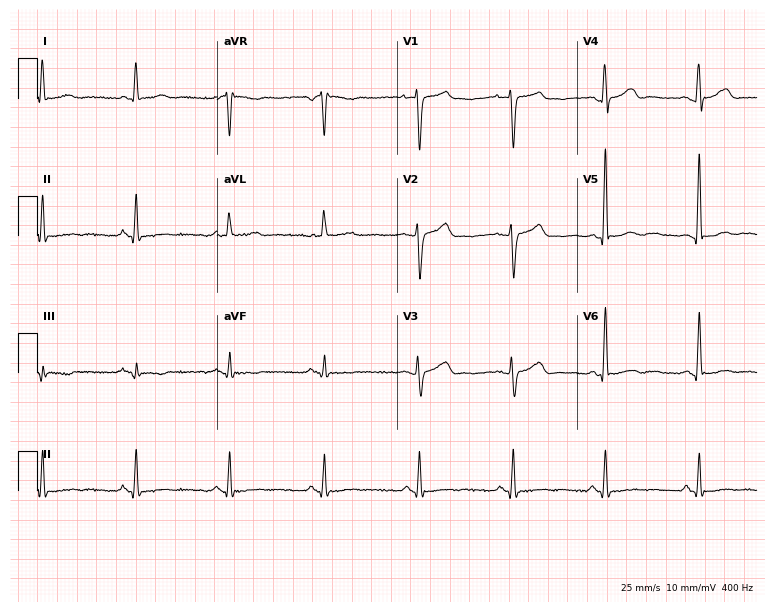
ECG — a 73-year-old male. Labelled as a normal ECG.